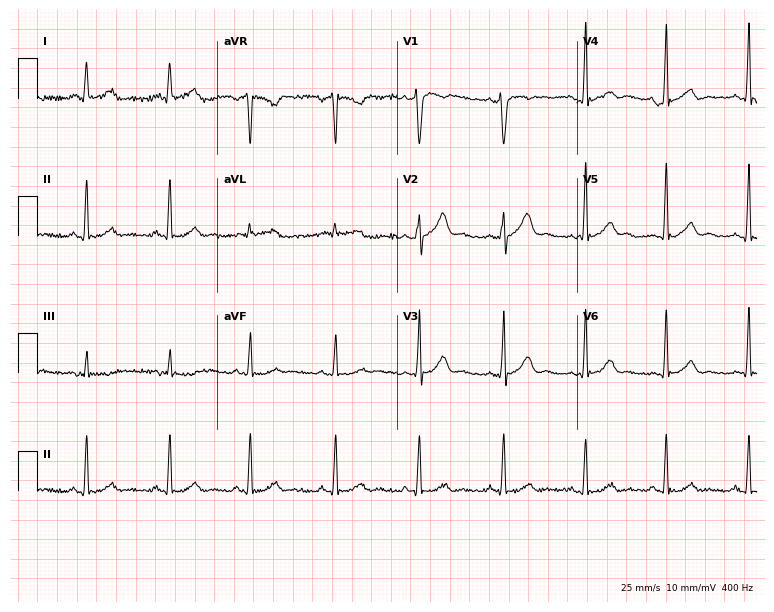
Resting 12-lead electrocardiogram. Patient: a 37-year-old male. Read as a normal ECG.